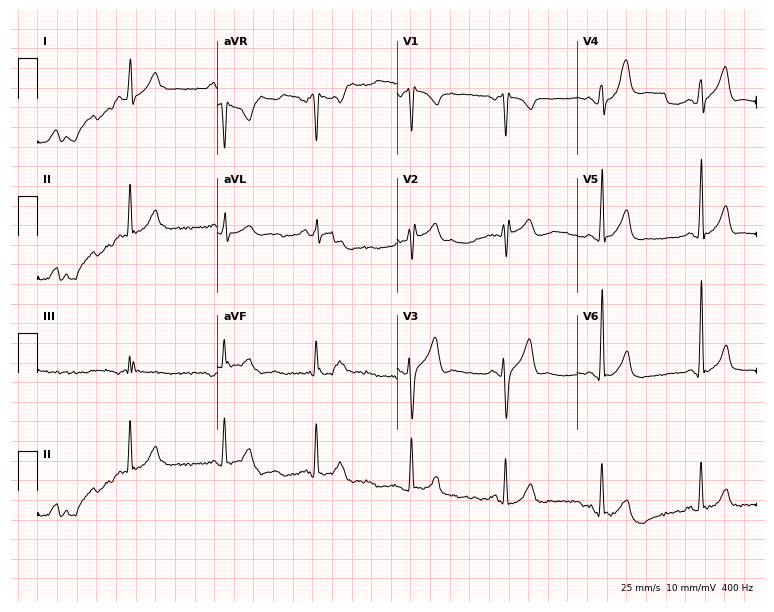
ECG — a 31-year-old male. Screened for six findings — first-degree AV block, right bundle branch block, left bundle branch block, sinus bradycardia, atrial fibrillation, sinus tachycardia — none is recorded.